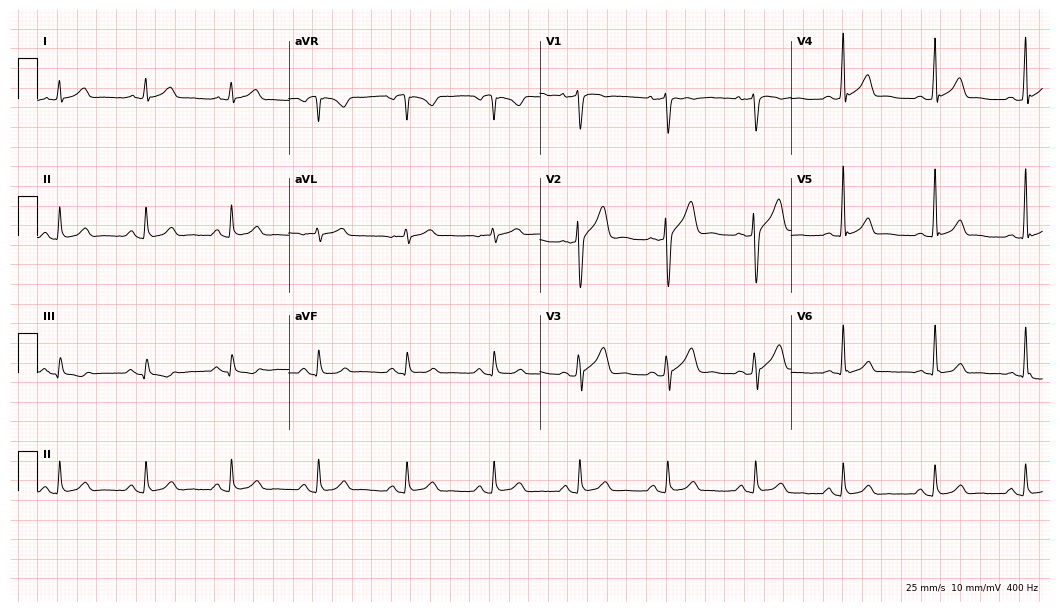
12-lead ECG (10.2-second recording at 400 Hz) from a 44-year-old man. Labelled as a normal ECG.